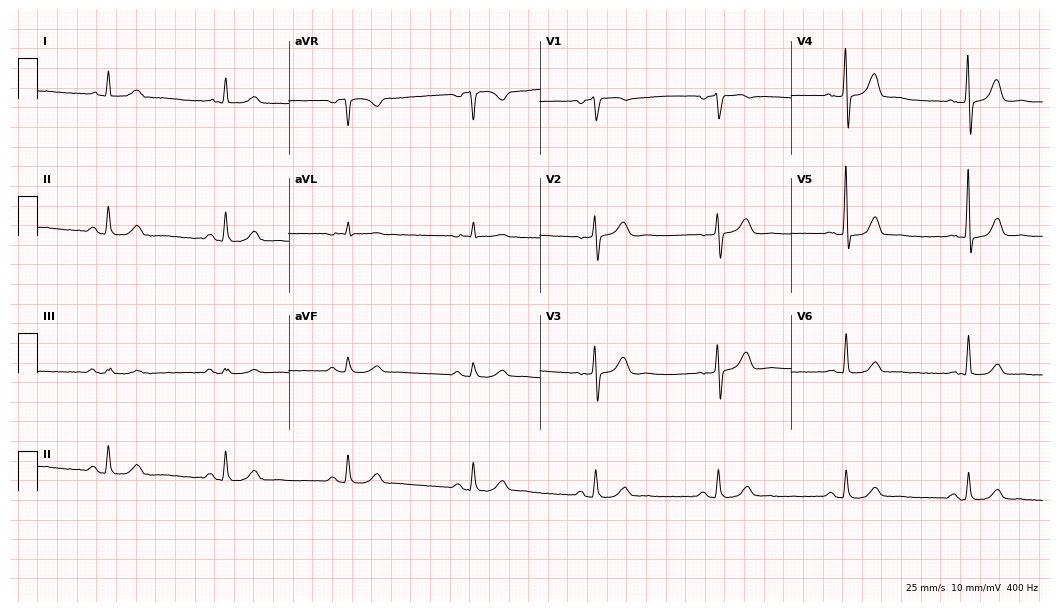
ECG — a man, 73 years old. Findings include sinus bradycardia (a sinus rate of 50 beats per minute or less).